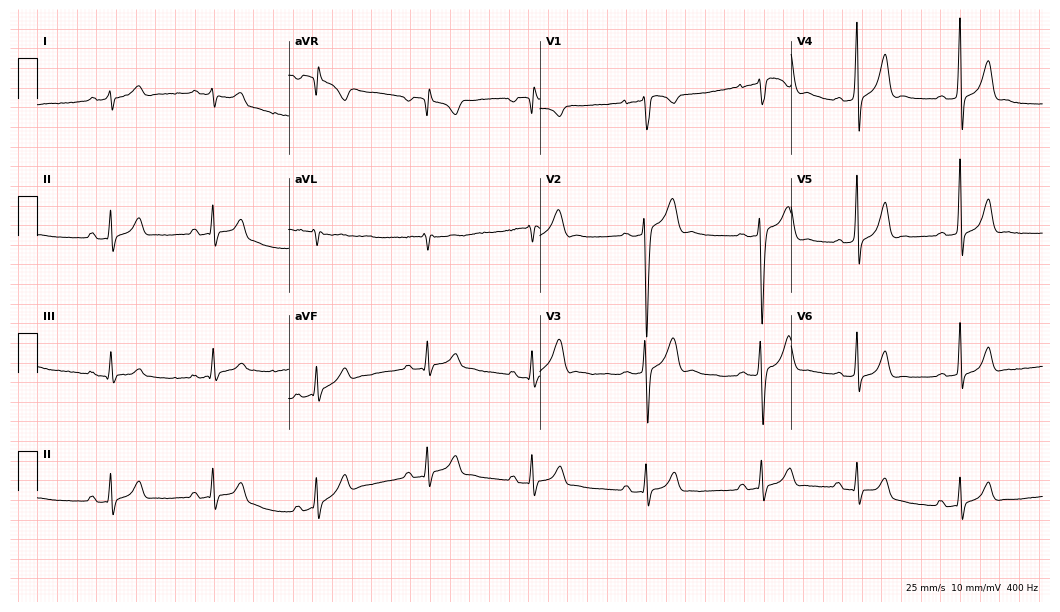
Electrocardiogram (10.2-second recording at 400 Hz), a male, 22 years old. Of the six screened findings (first-degree AV block, right bundle branch block (RBBB), left bundle branch block (LBBB), sinus bradycardia, atrial fibrillation (AF), sinus tachycardia), none is recorded. Findings outside these six are not listed.